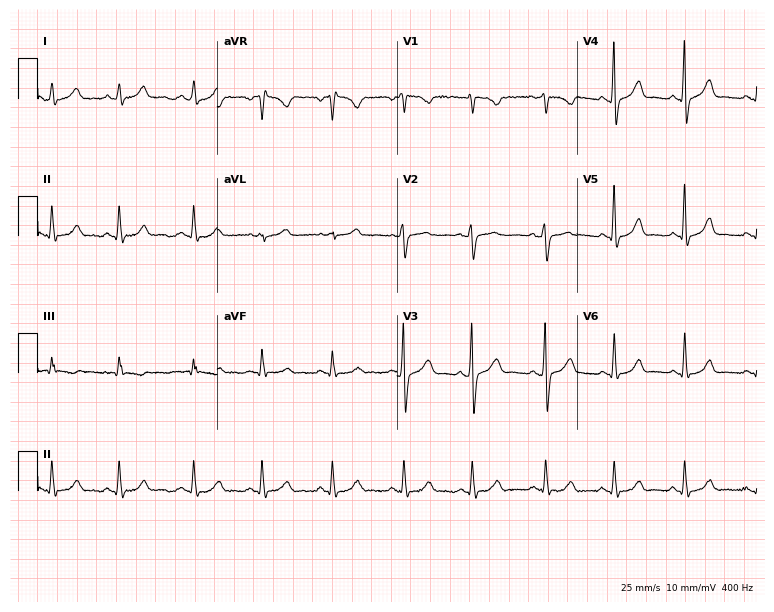
Electrocardiogram, a woman, 32 years old. Of the six screened findings (first-degree AV block, right bundle branch block, left bundle branch block, sinus bradycardia, atrial fibrillation, sinus tachycardia), none is recorded.